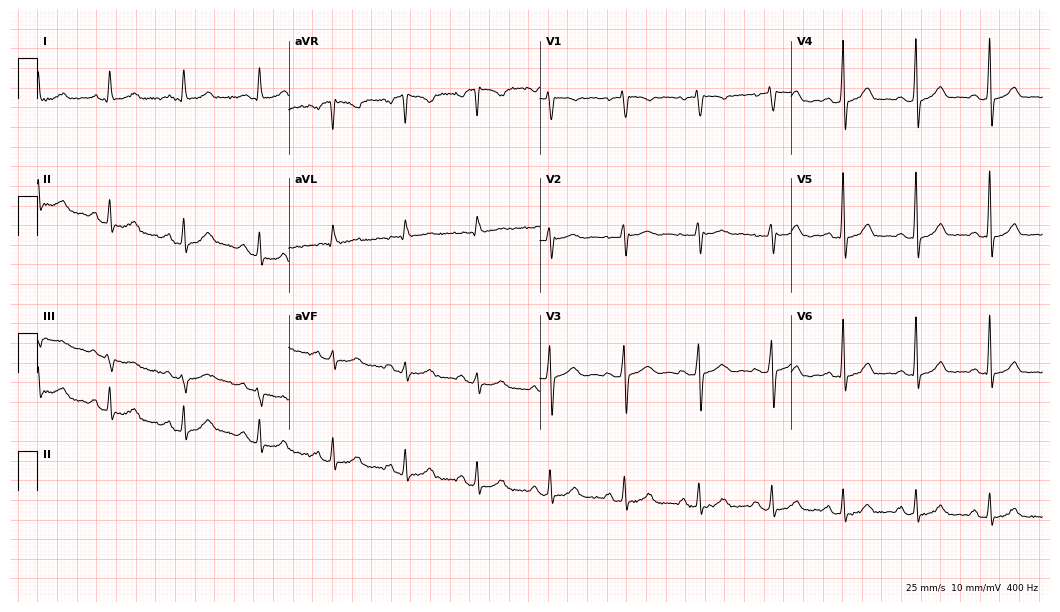
12-lead ECG from a 60-year-old female. Screened for six findings — first-degree AV block, right bundle branch block, left bundle branch block, sinus bradycardia, atrial fibrillation, sinus tachycardia — none is recorded.